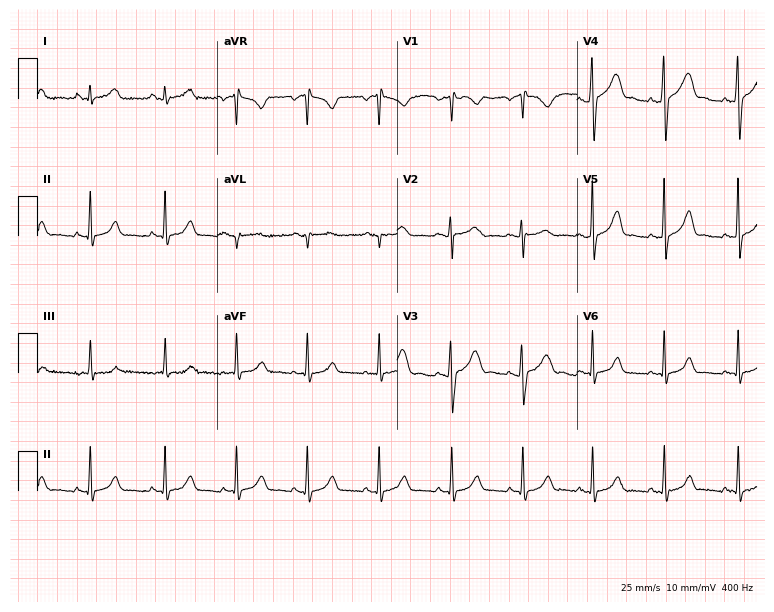
12-lead ECG (7.3-second recording at 400 Hz) from a female patient, 24 years old. Labelled as a normal ECG.